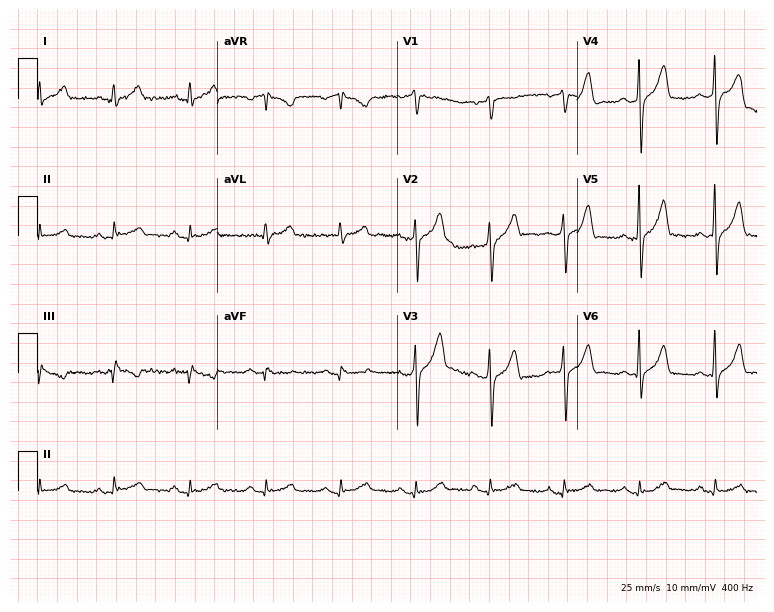
12-lead ECG from a 52-year-old male patient. Recorded interpretation: within normal limits.